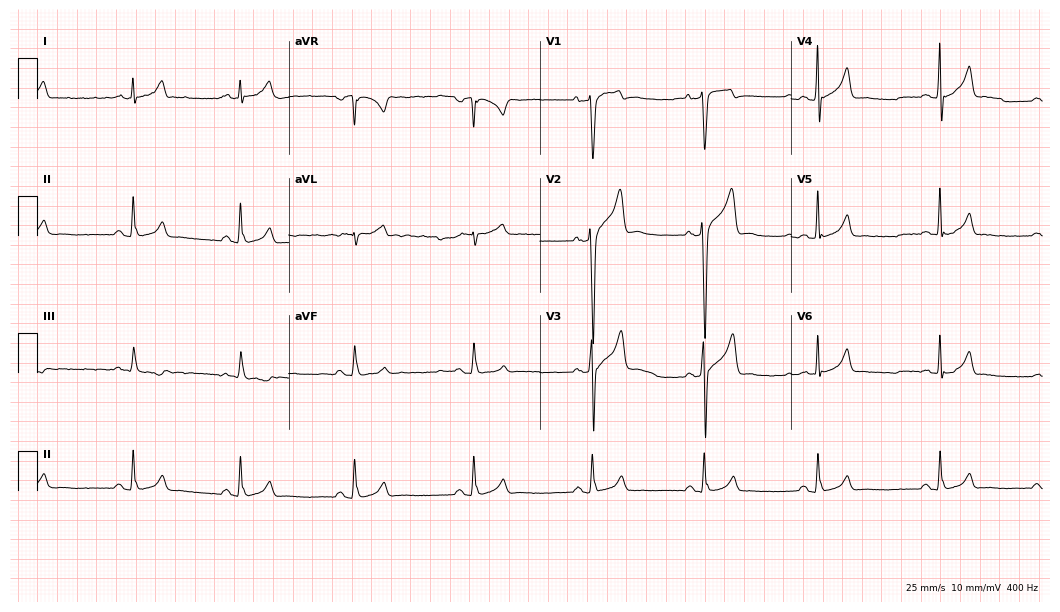
12-lead ECG (10.2-second recording at 400 Hz) from a 40-year-old male. Screened for six findings — first-degree AV block, right bundle branch block (RBBB), left bundle branch block (LBBB), sinus bradycardia, atrial fibrillation (AF), sinus tachycardia — none is recorded. Findings outside these six are not listed.